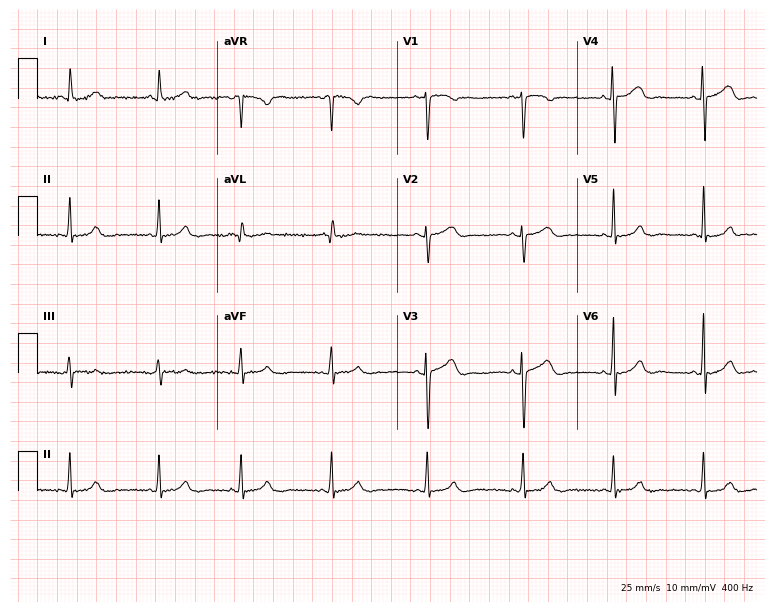
12-lead ECG (7.3-second recording at 400 Hz) from an 18-year-old female patient. Labelled as a normal ECG.